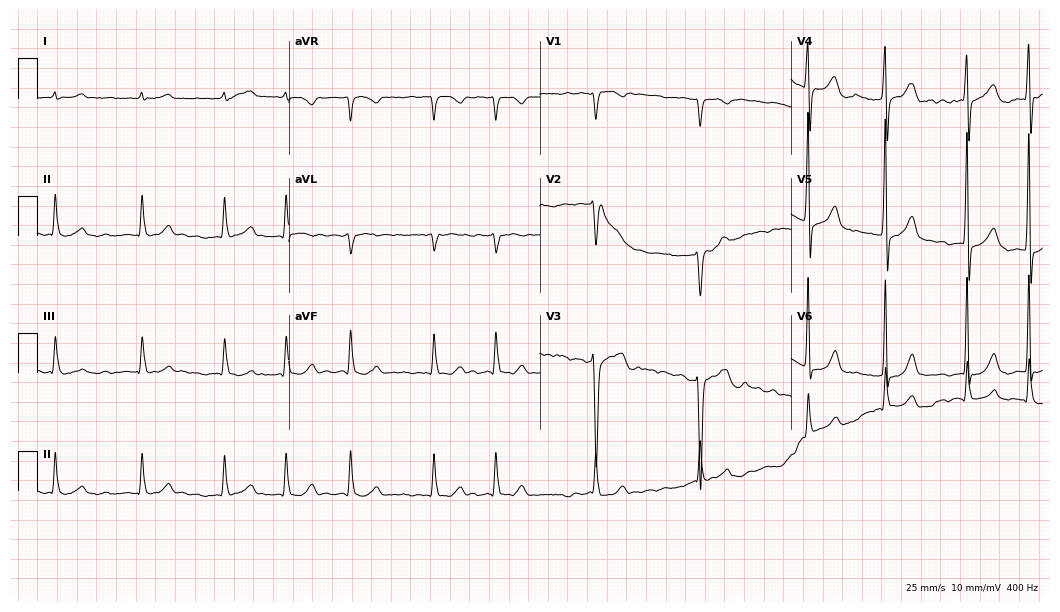
ECG — a 72-year-old male patient. Labelled as a normal ECG.